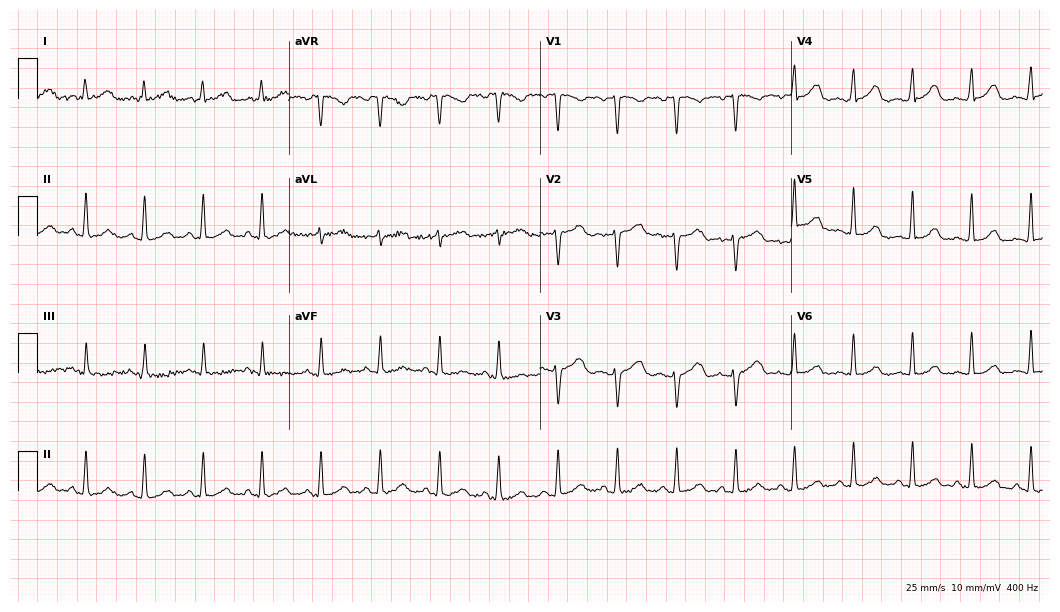
12-lead ECG from a woman, 29 years old. Recorded interpretation: within normal limits.